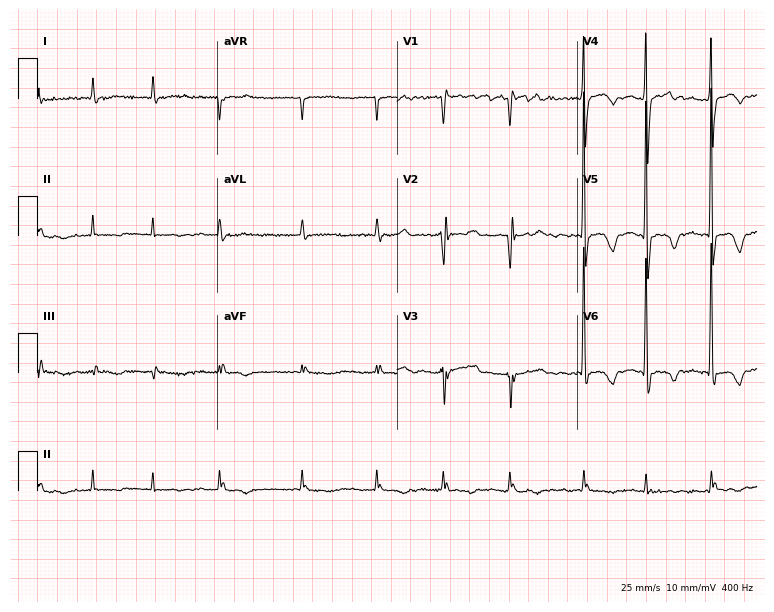
Electrocardiogram, a female patient, 81 years old. Interpretation includes atrial fibrillation.